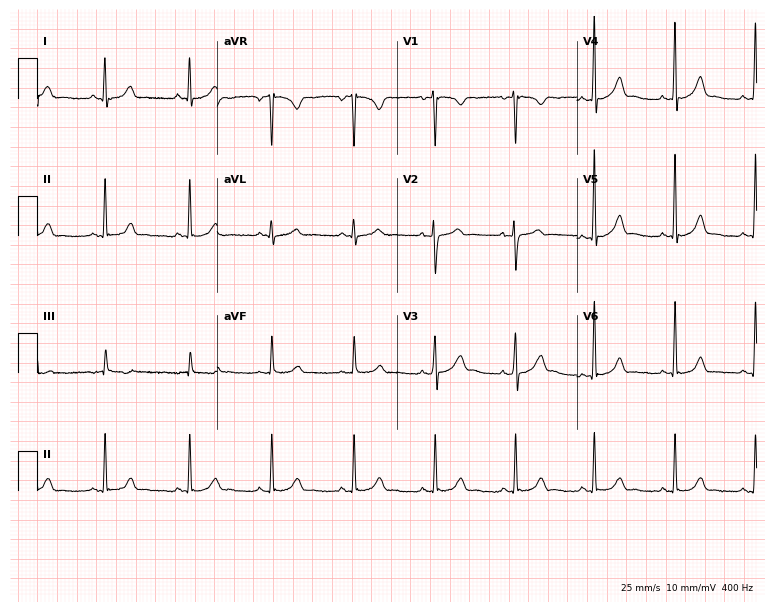
12-lead ECG from a female, 31 years old (7.3-second recording at 400 Hz). Recorded interpretation: within normal limits.